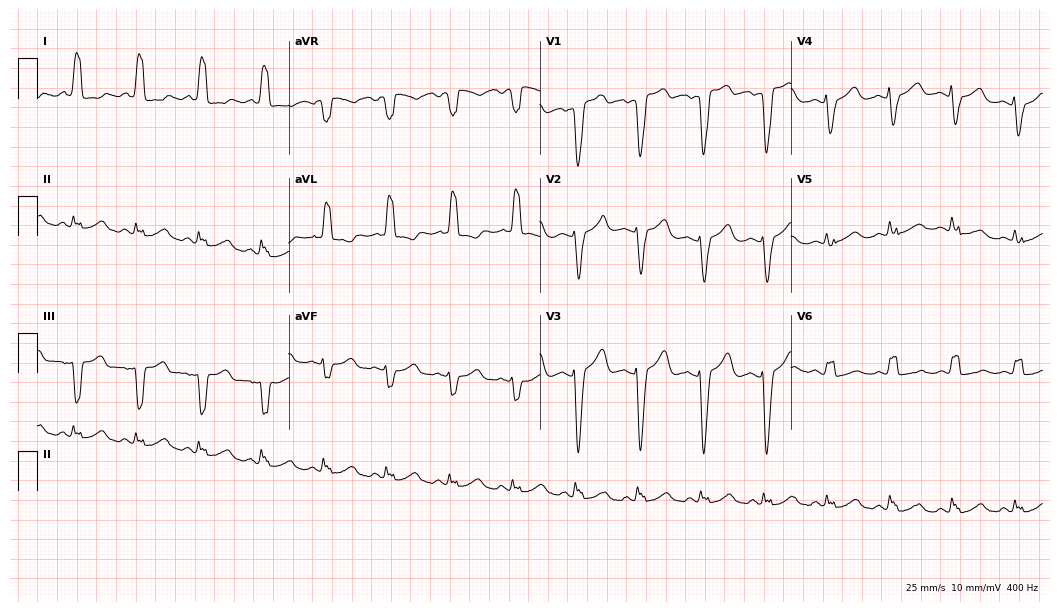
ECG — a female, 33 years old. Findings include left bundle branch block.